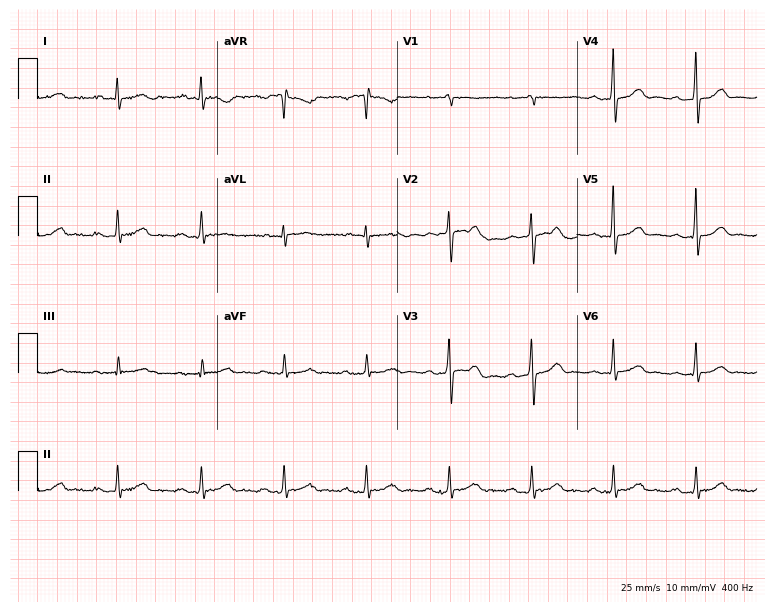
ECG (7.3-second recording at 400 Hz) — an 80-year-old male patient. Labelled as a normal ECG.